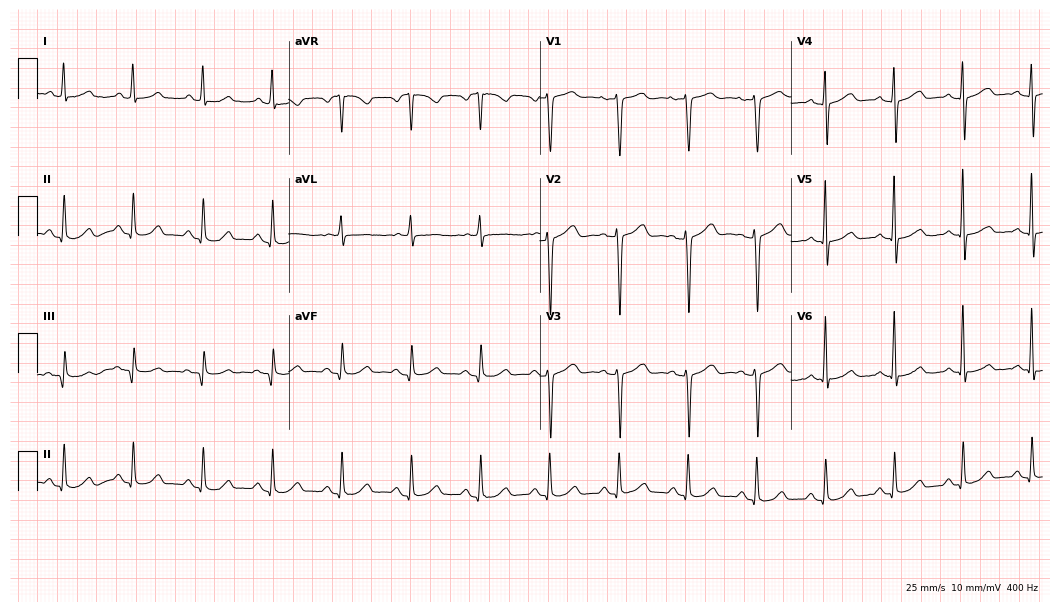
ECG (10.2-second recording at 400 Hz) — a female patient, 76 years old. Labelled as a normal ECG.